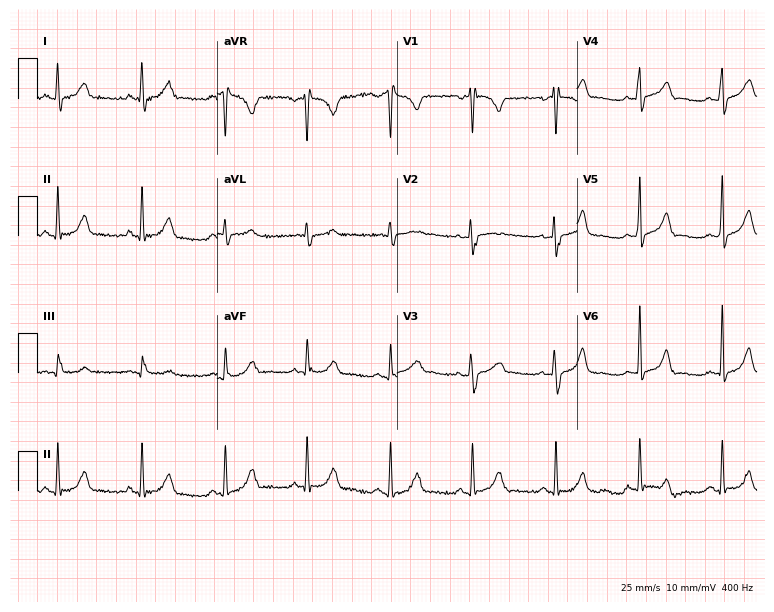
Resting 12-lead electrocardiogram. Patient: a female, 34 years old. Read as a normal ECG.